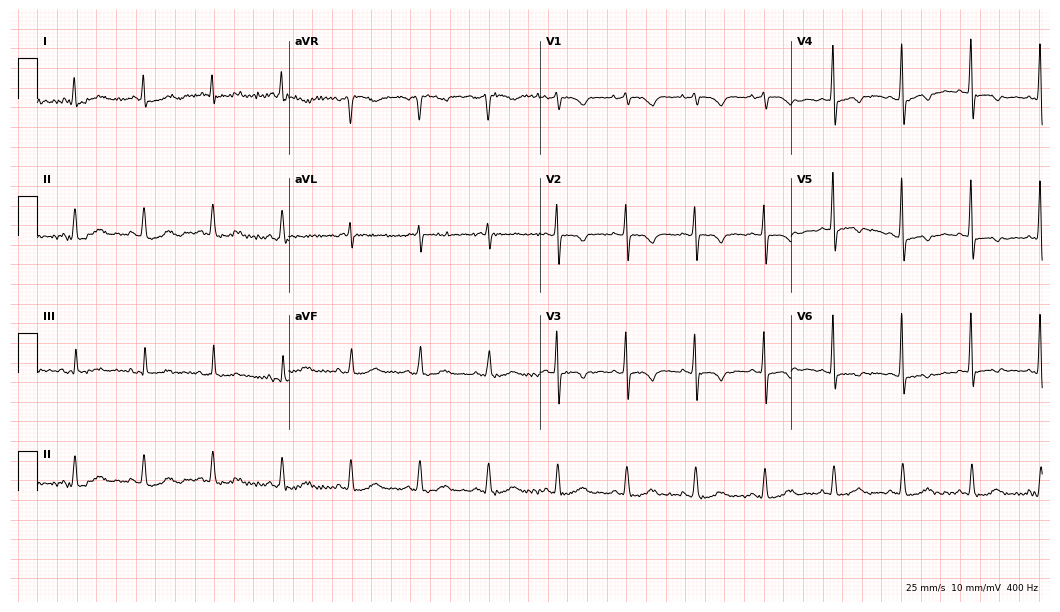
12-lead ECG from a 73-year-old female. Screened for six findings — first-degree AV block, right bundle branch block (RBBB), left bundle branch block (LBBB), sinus bradycardia, atrial fibrillation (AF), sinus tachycardia — none is recorded. Only these six findings were labelled.